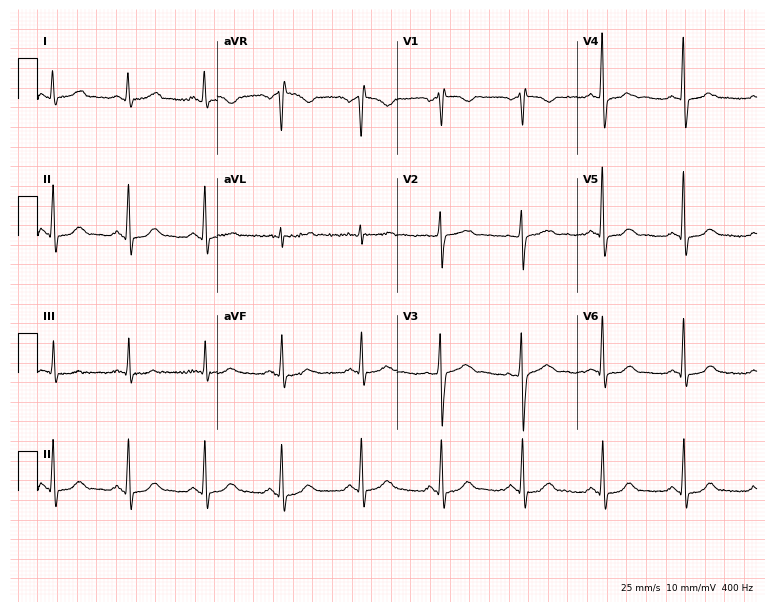
12-lead ECG from a 67-year-old female patient. Recorded interpretation: within normal limits.